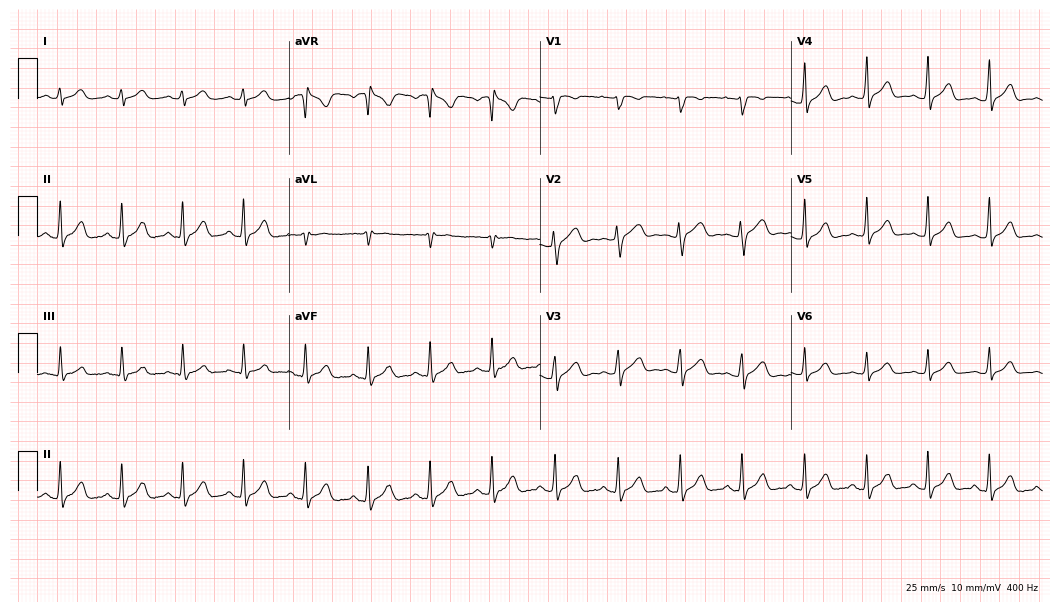
Electrocardiogram, a 26-year-old female patient. Overall reading on record: normal ECG.